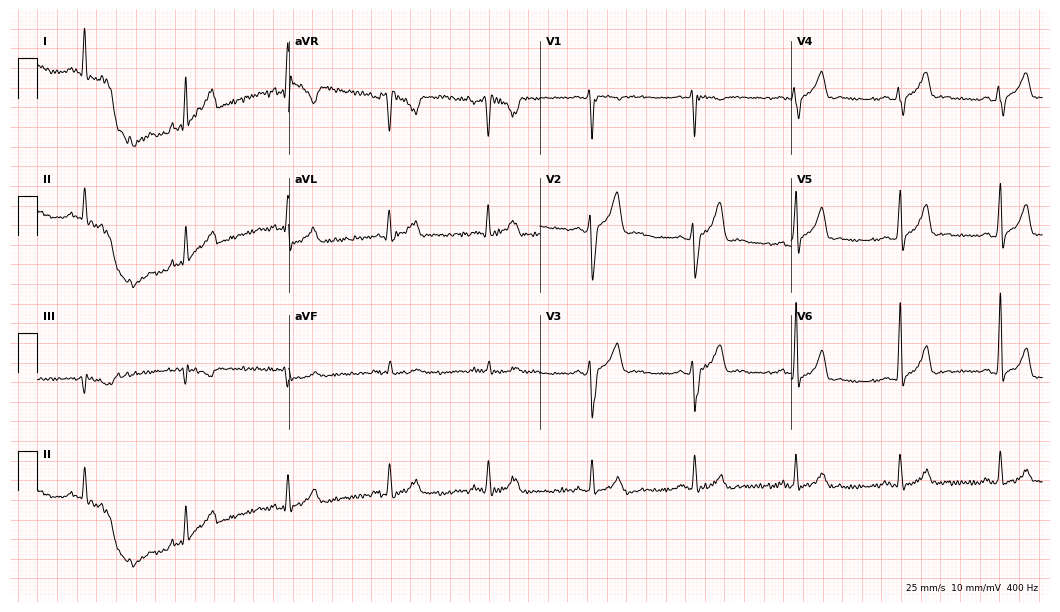
Standard 12-lead ECG recorded from a 35-year-old male patient (10.2-second recording at 400 Hz). Read as a normal ECG.